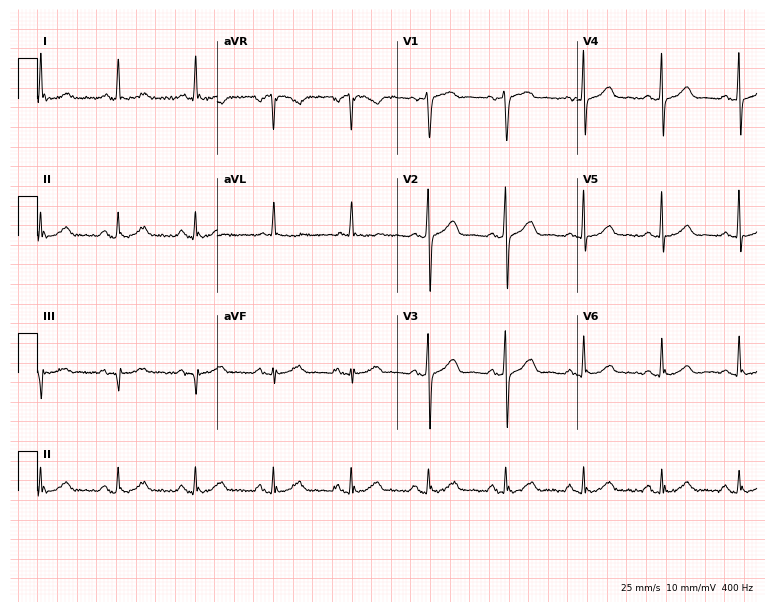
Electrocardiogram (7.3-second recording at 400 Hz), a 62-year-old woman. Overall reading on record: normal ECG.